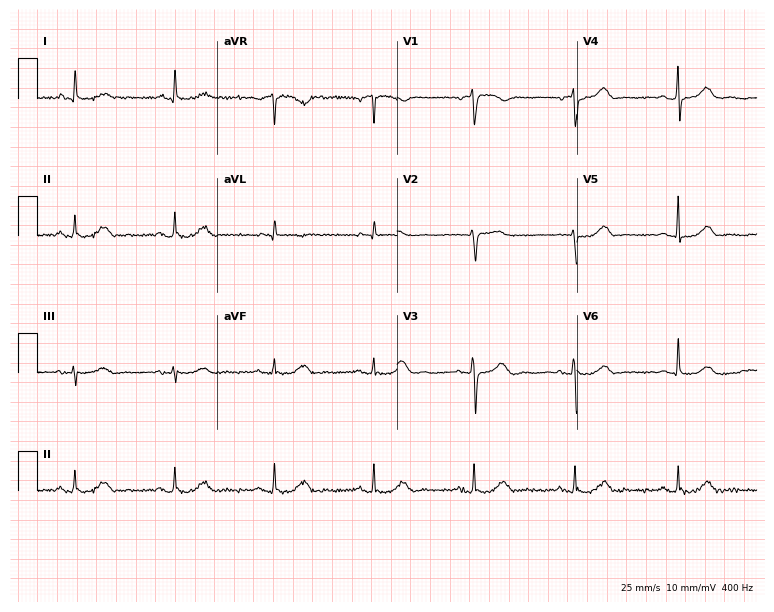
12-lead ECG from a male, 84 years old. Recorded interpretation: within normal limits.